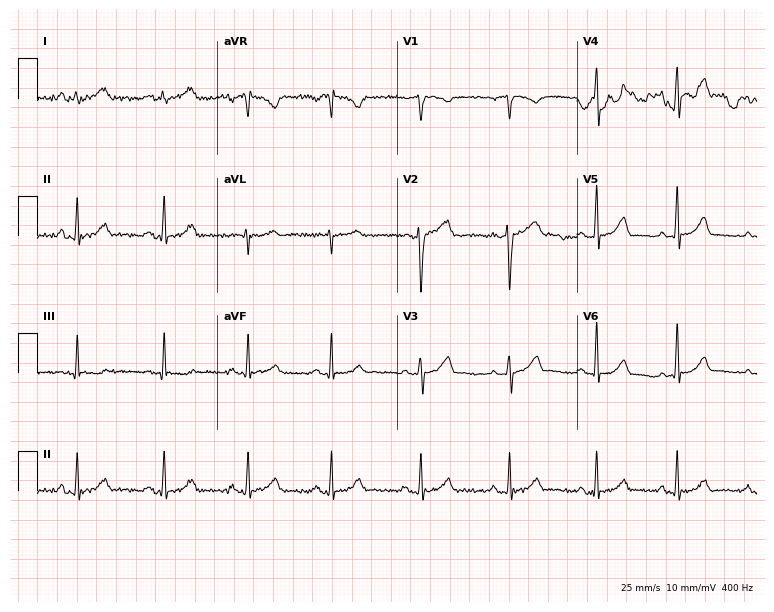
Electrocardiogram (7.3-second recording at 400 Hz), a woman, 33 years old. Overall reading on record: normal ECG.